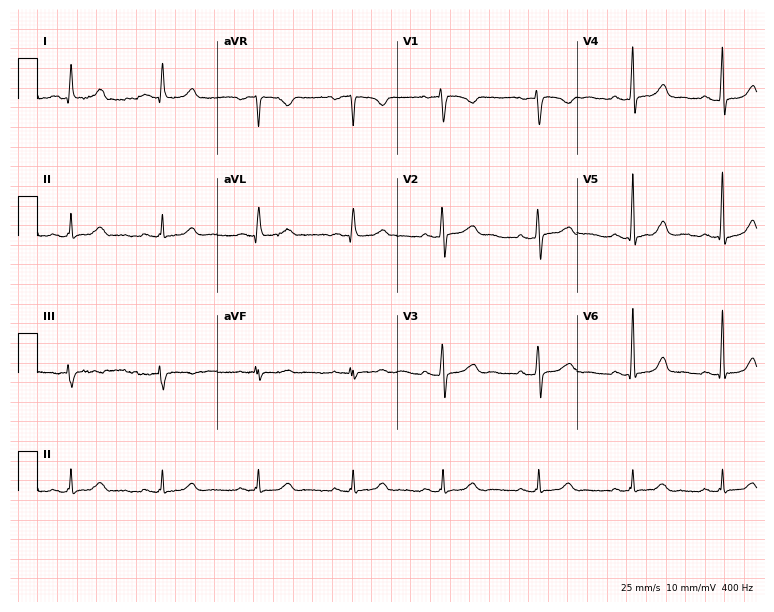
Electrocardiogram (7.3-second recording at 400 Hz), a 53-year-old woman. Overall reading on record: normal ECG.